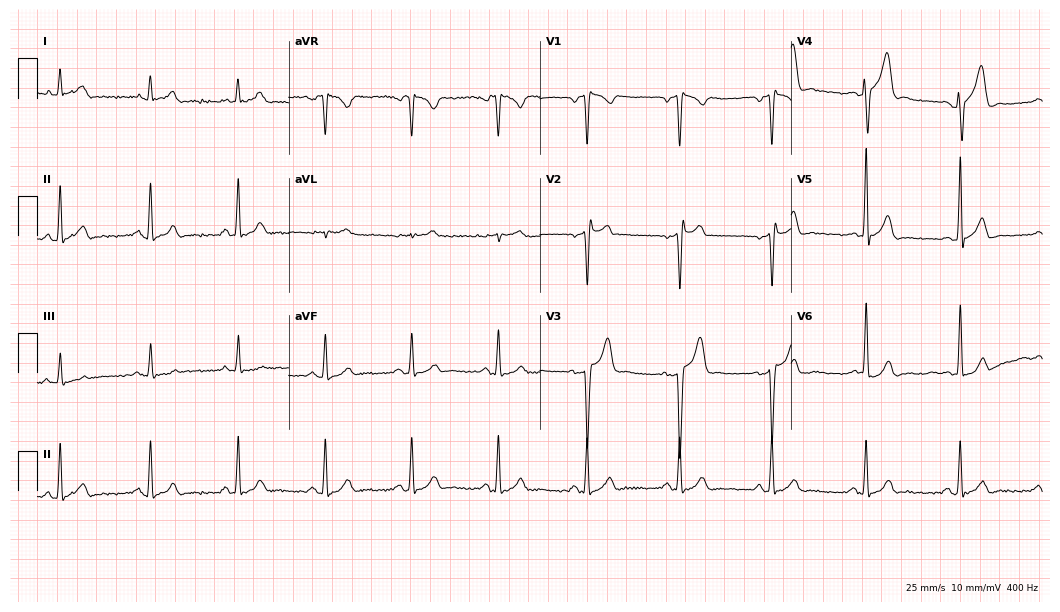
Standard 12-lead ECG recorded from a 45-year-old male patient. None of these six findings is recorded: first-degree AV block, right bundle branch block (RBBB), left bundle branch block (LBBB), sinus bradycardia, atrial fibrillation (AF), sinus tachycardia.